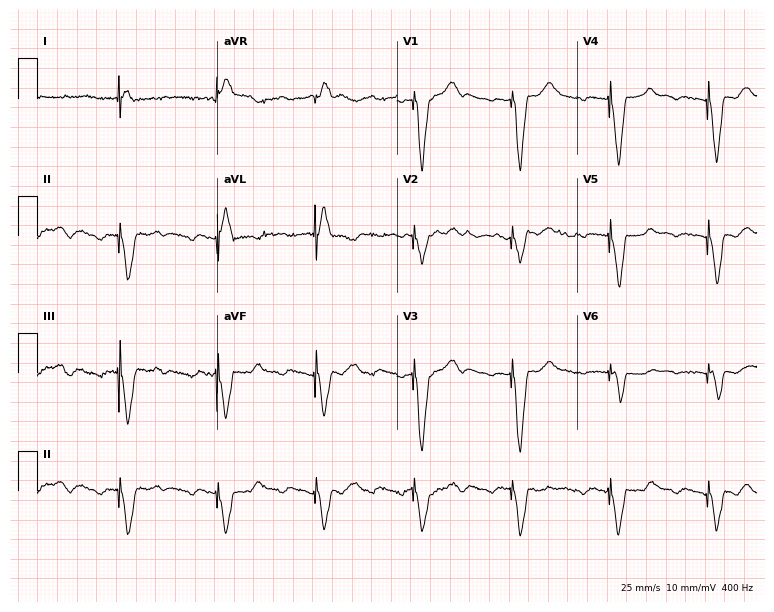
12-lead ECG from a man, 83 years old. No first-degree AV block, right bundle branch block, left bundle branch block, sinus bradycardia, atrial fibrillation or sinus tachycardia recorded for this tracing. Other findings, if any, are not listed.